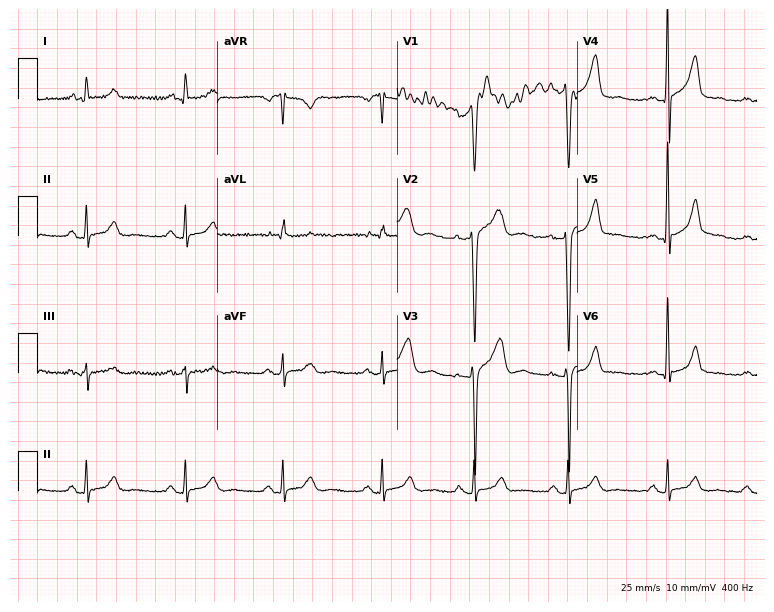
Standard 12-lead ECG recorded from a male patient, 38 years old (7.3-second recording at 400 Hz). Read as a normal ECG.